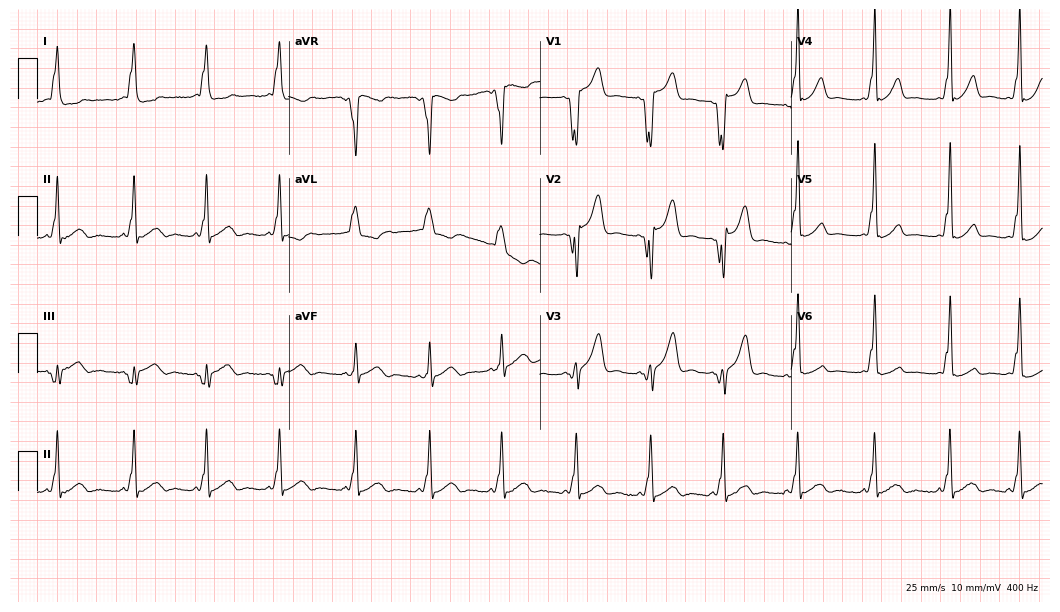
12-lead ECG from a male patient, 25 years old (10.2-second recording at 400 Hz). No first-degree AV block, right bundle branch block, left bundle branch block, sinus bradycardia, atrial fibrillation or sinus tachycardia recorded for this tracing.